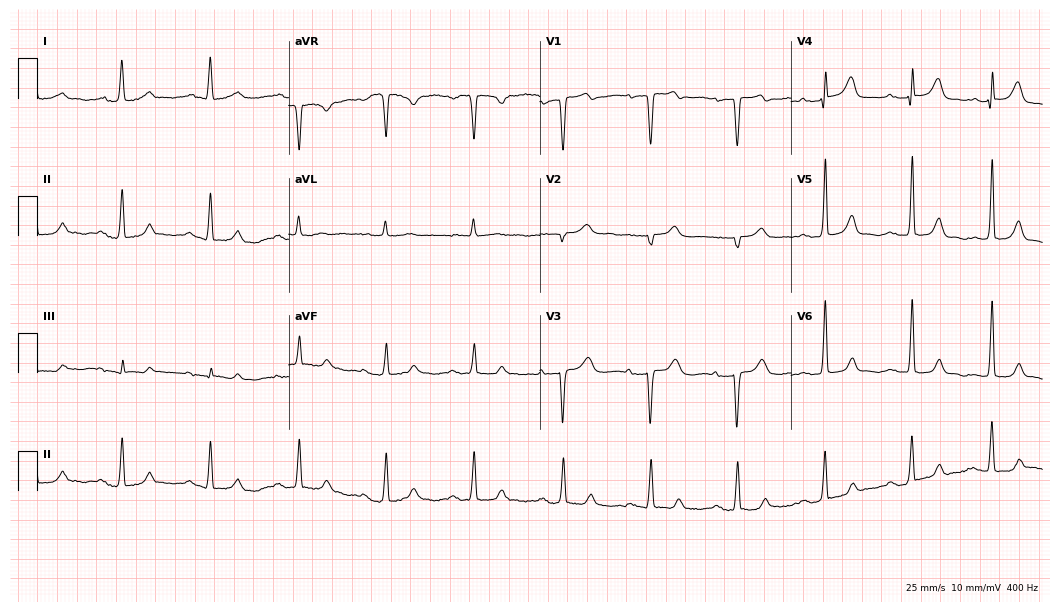
Standard 12-lead ECG recorded from a female, 59 years old (10.2-second recording at 400 Hz). None of these six findings is recorded: first-degree AV block, right bundle branch block, left bundle branch block, sinus bradycardia, atrial fibrillation, sinus tachycardia. Findings outside these six are not listed.